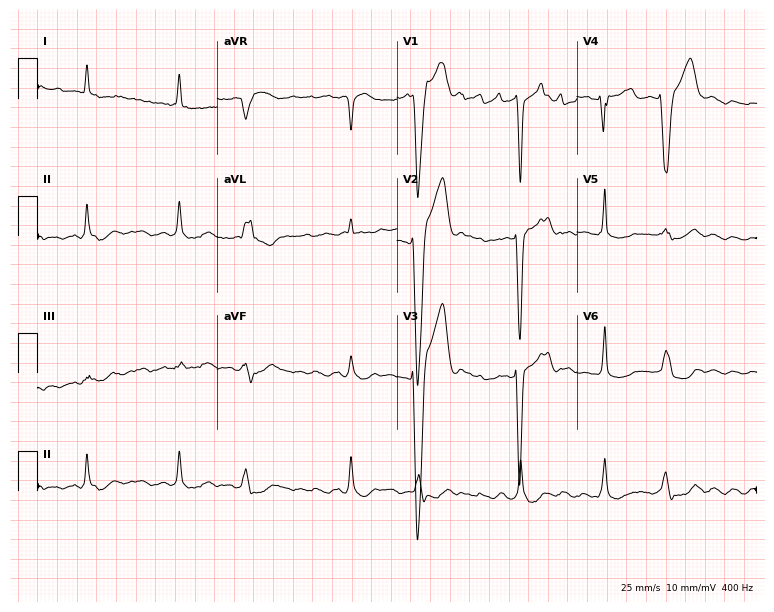
ECG — a 50-year-old woman. Findings include atrial fibrillation.